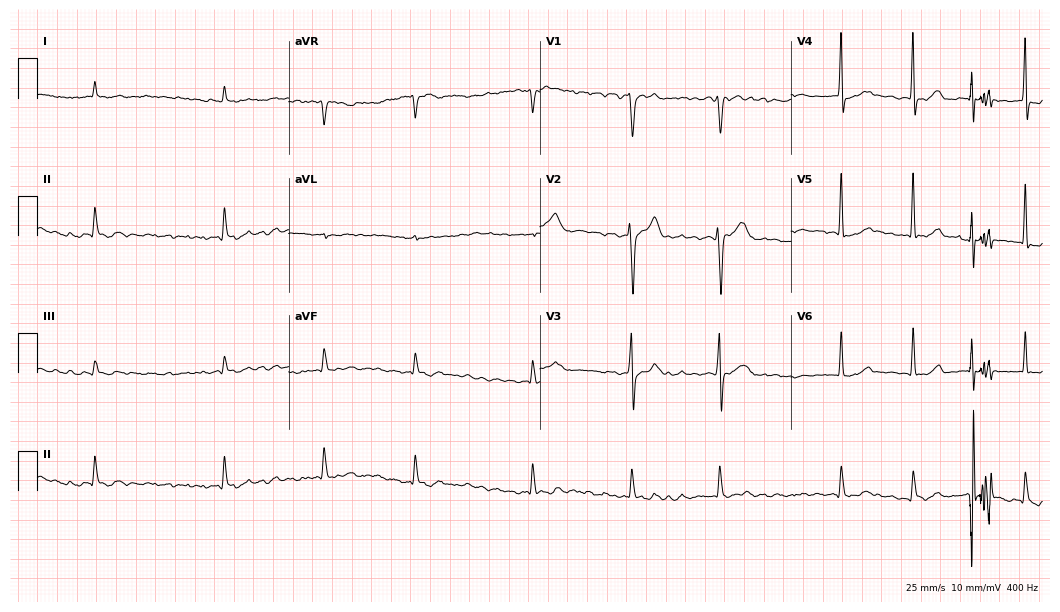
Electrocardiogram, a 71-year-old male. Of the six screened findings (first-degree AV block, right bundle branch block, left bundle branch block, sinus bradycardia, atrial fibrillation, sinus tachycardia), none is recorded.